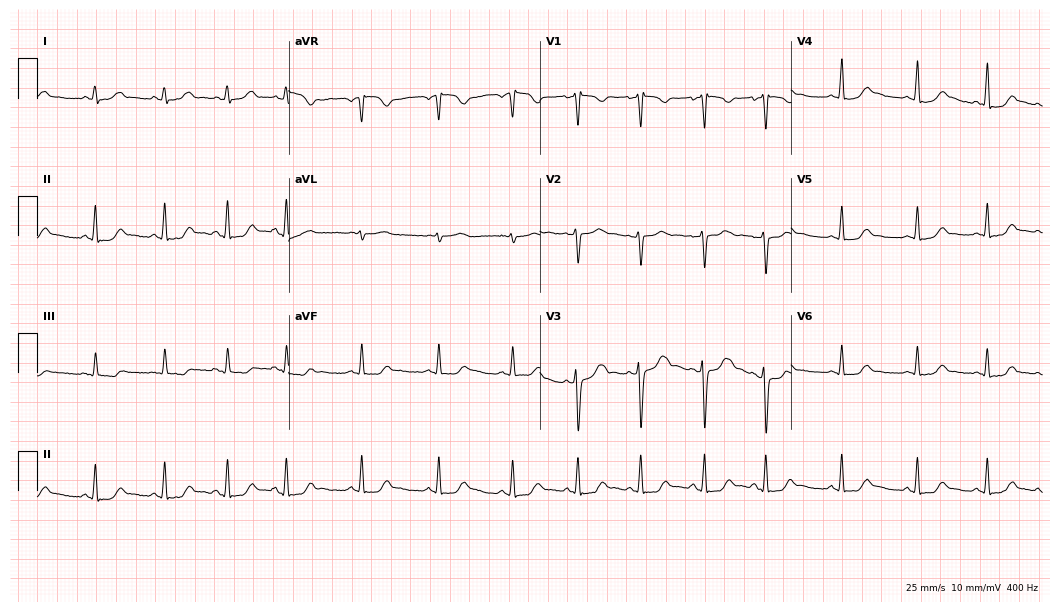
Standard 12-lead ECG recorded from a female, 20 years old (10.2-second recording at 400 Hz). Read as a normal ECG.